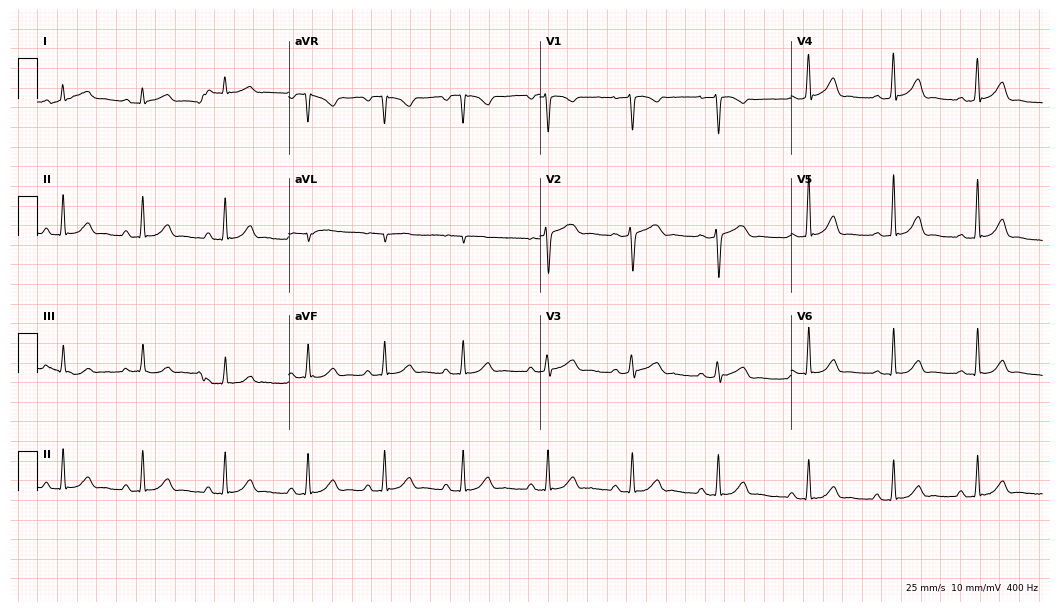
ECG (10.2-second recording at 400 Hz) — a female, 23 years old. Labelled as a normal ECG.